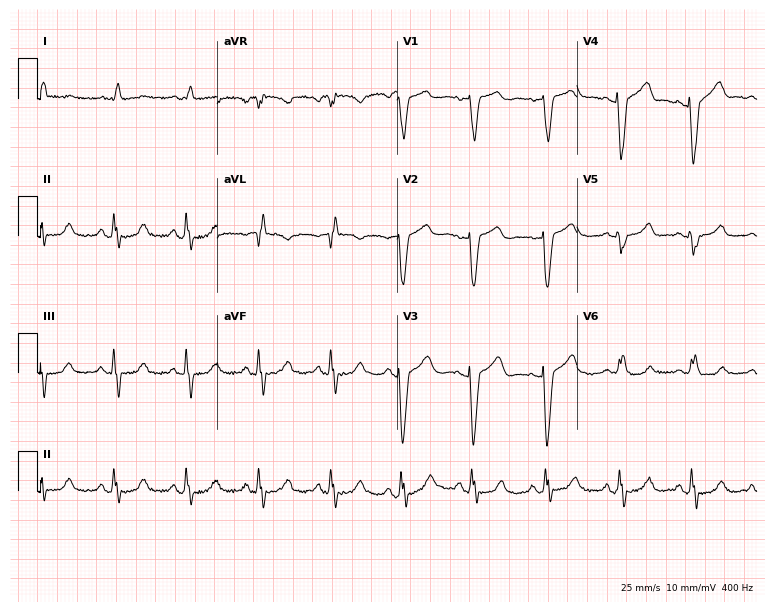
ECG — a 68-year-old female. Screened for six findings — first-degree AV block, right bundle branch block, left bundle branch block, sinus bradycardia, atrial fibrillation, sinus tachycardia — none is recorded. Other findings, if any, are not listed.